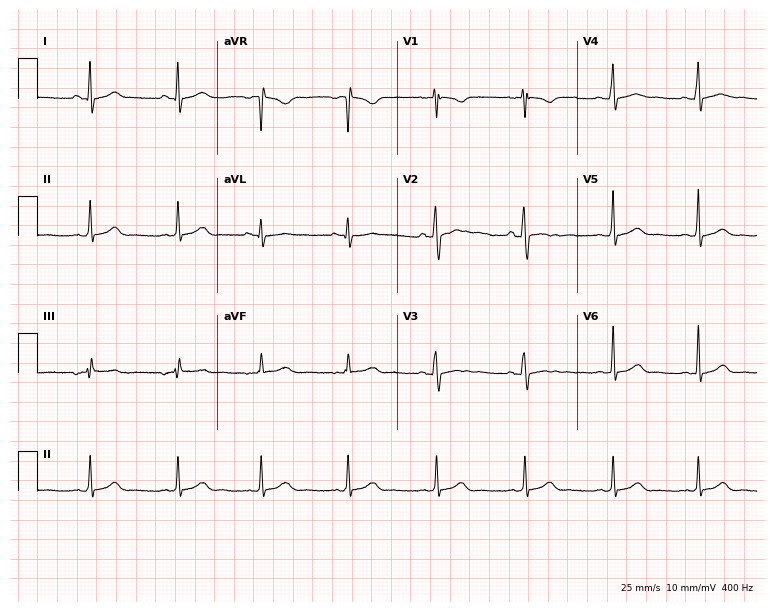
Resting 12-lead electrocardiogram (7.3-second recording at 400 Hz). Patient: a 26-year-old female. Read as a normal ECG.